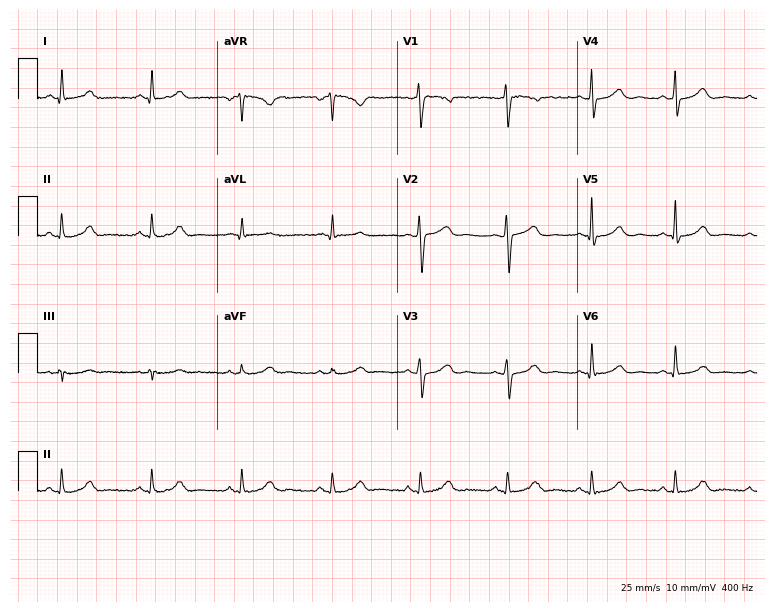
Standard 12-lead ECG recorded from a woman, 44 years old. None of these six findings is recorded: first-degree AV block, right bundle branch block (RBBB), left bundle branch block (LBBB), sinus bradycardia, atrial fibrillation (AF), sinus tachycardia. Other findings, if any, are not listed.